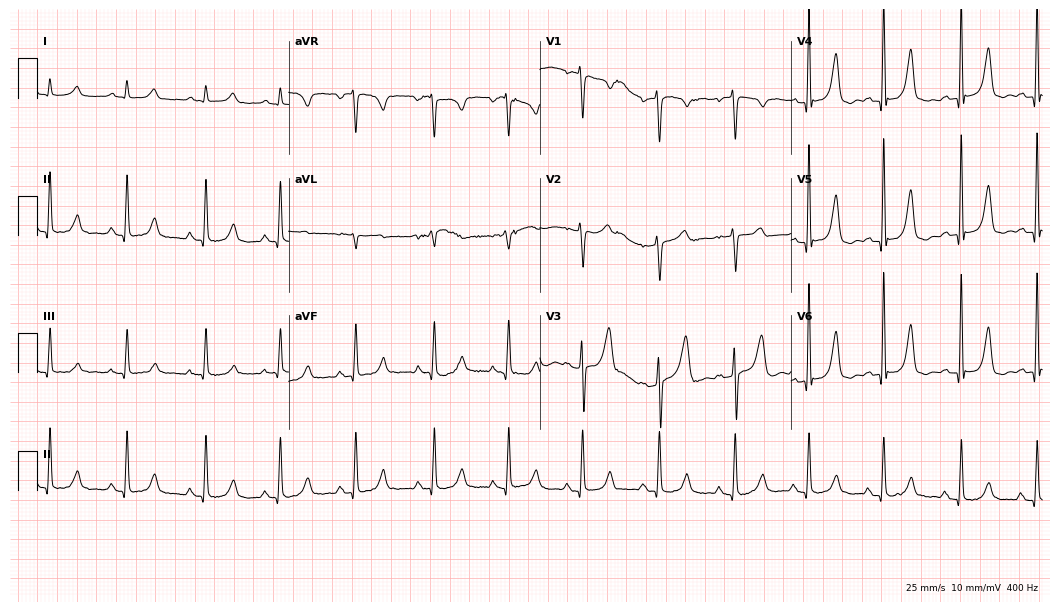
ECG — a woman, 37 years old. Screened for six findings — first-degree AV block, right bundle branch block (RBBB), left bundle branch block (LBBB), sinus bradycardia, atrial fibrillation (AF), sinus tachycardia — none is recorded. Findings outside these six are not listed.